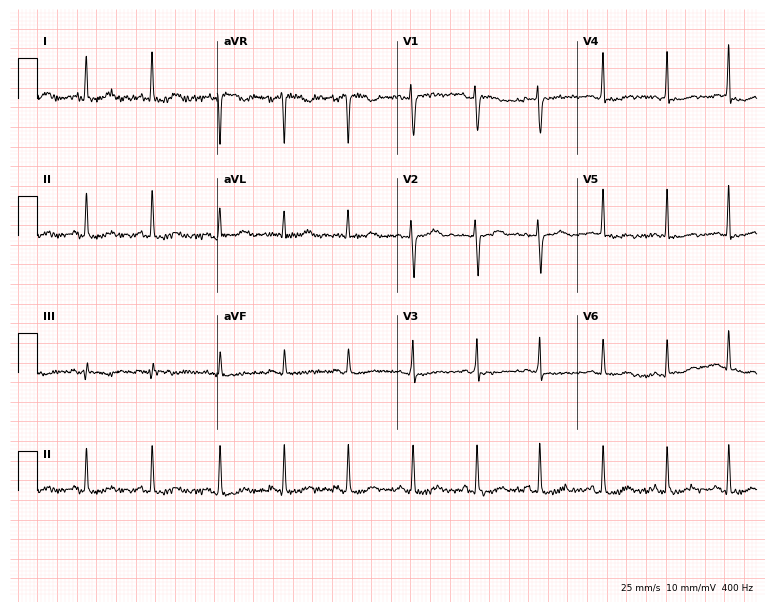
ECG — a woman, 28 years old. Labelled as a normal ECG.